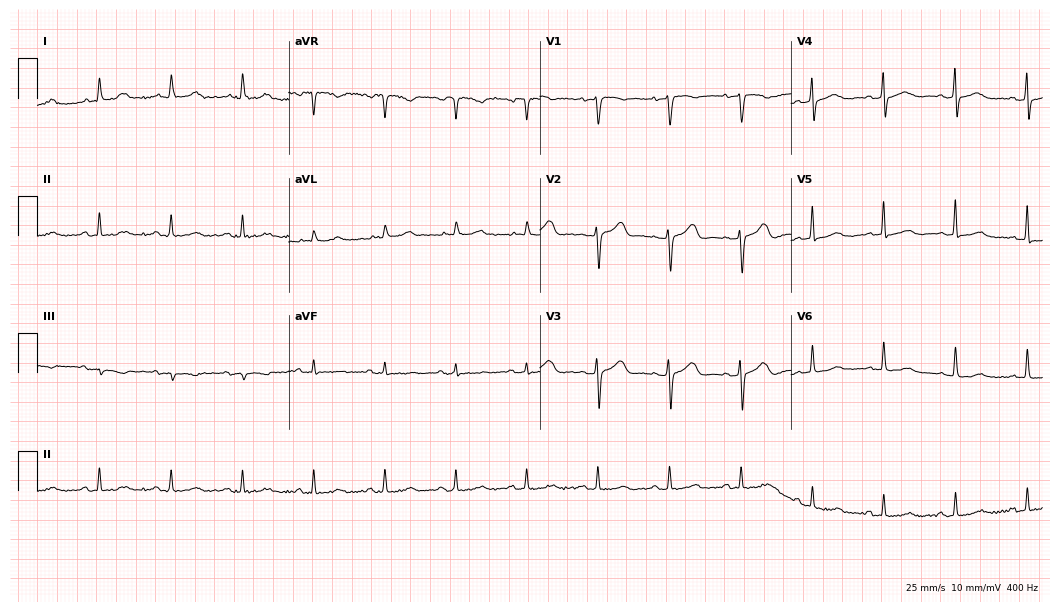
Electrocardiogram (10.2-second recording at 400 Hz), a 55-year-old woman. Overall reading on record: normal ECG.